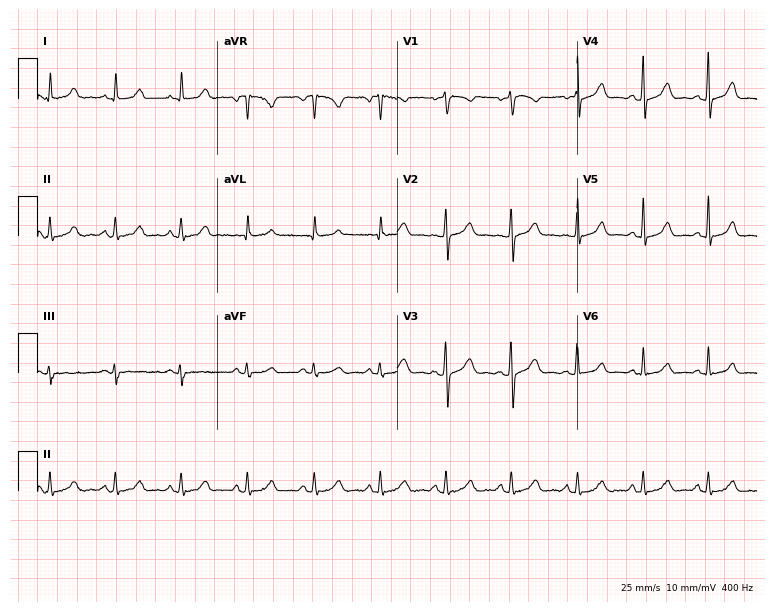
Electrocardiogram (7.3-second recording at 400 Hz), a female, 54 years old. Overall reading on record: normal ECG.